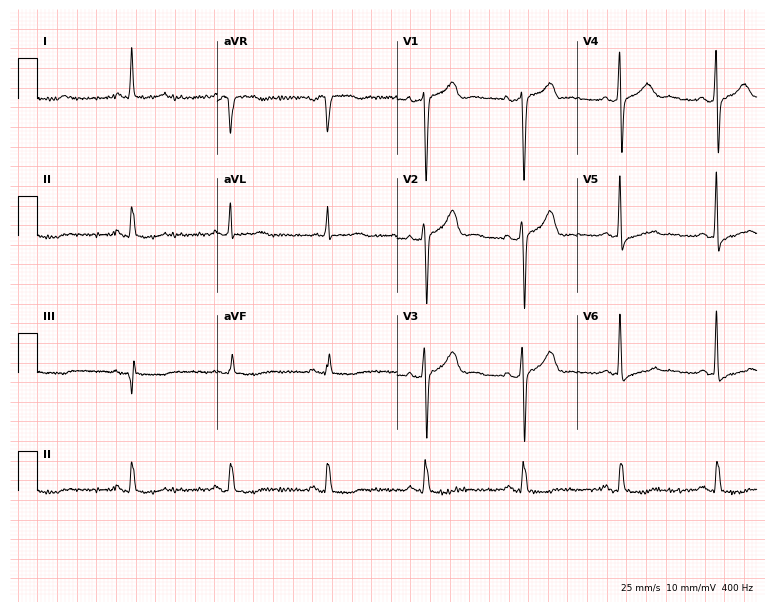
ECG — a male, 66 years old. Labelled as a normal ECG.